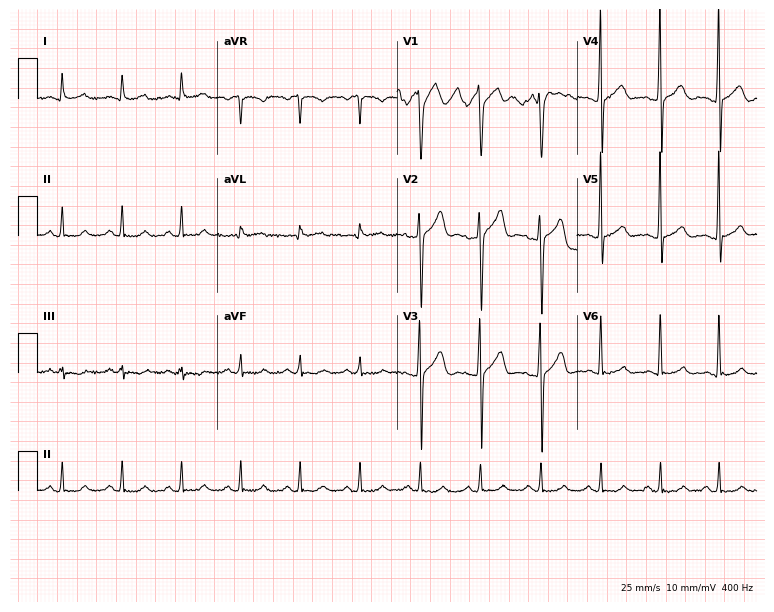
12-lead ECG (7.3-second recording at 400 Hz) from a 41-year-old male patient. Labelled as a normal ECG.